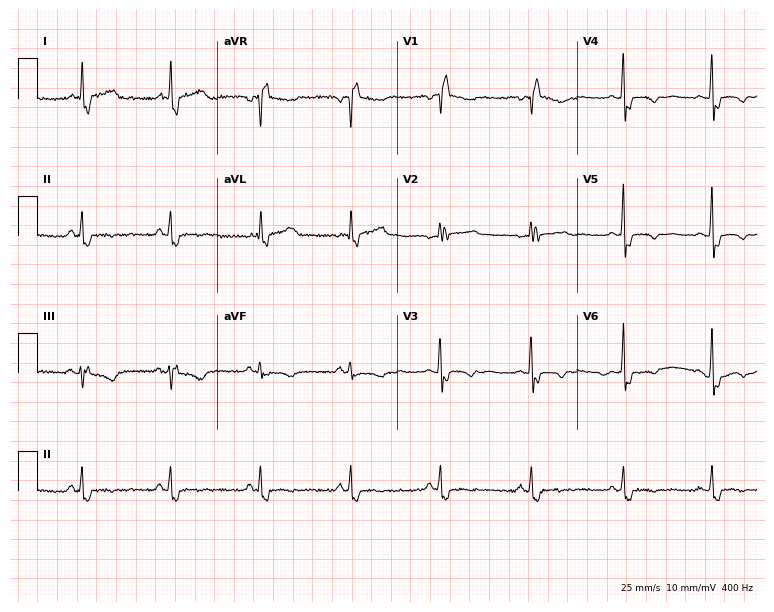
12-lead ECG from a woman, 47 years old. Shows right bundle branch block (RBBB).